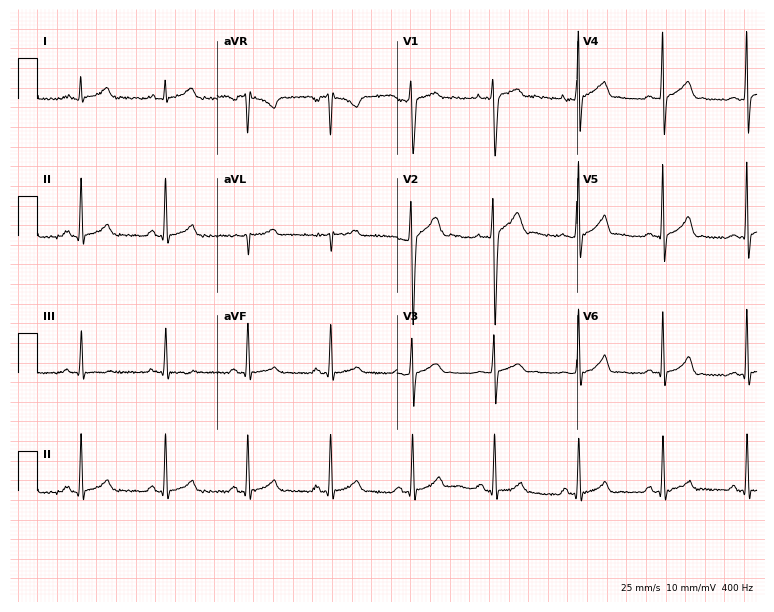
ECG — a male, 18 years old. Labelled as a normal ECG.